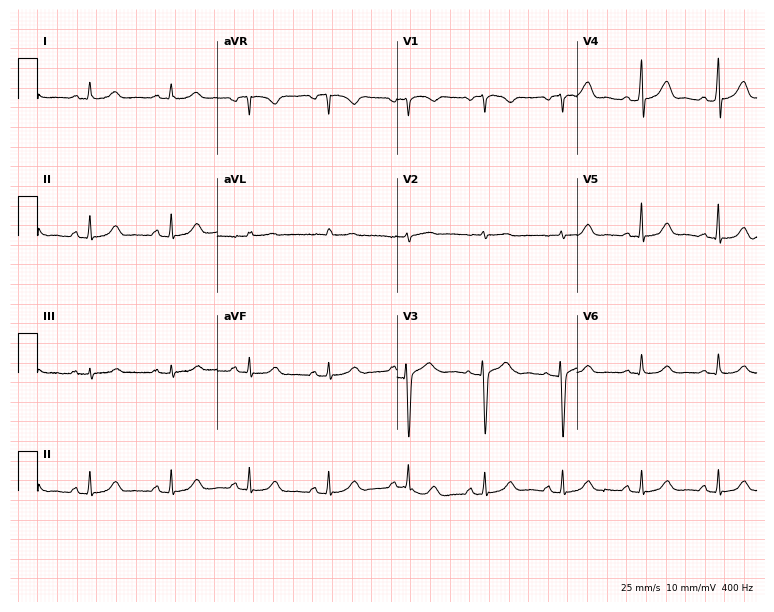
12-lead ECG (7.3-second recording at 400 Hz) from a woman, 41 years old. Labelled as a normal ECG.